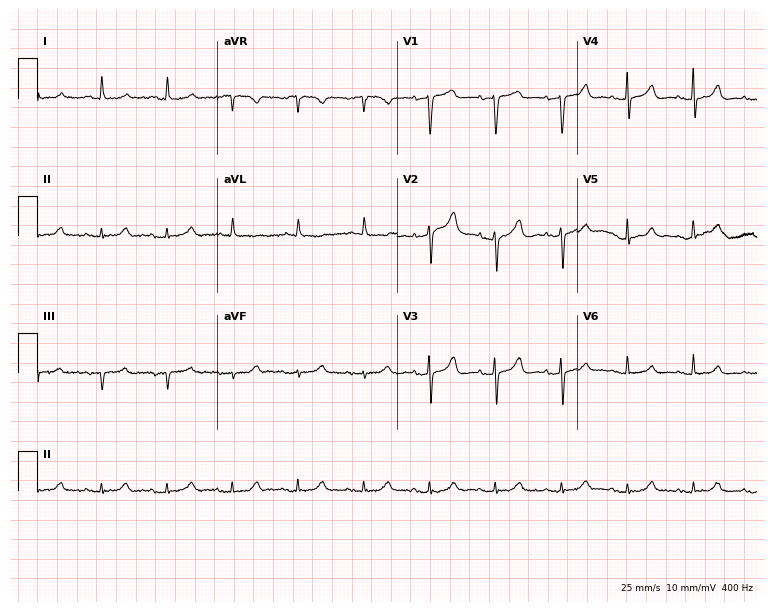
Electrocardiogram, a 67-year-old woman. Overall reading on record: normal ECG.